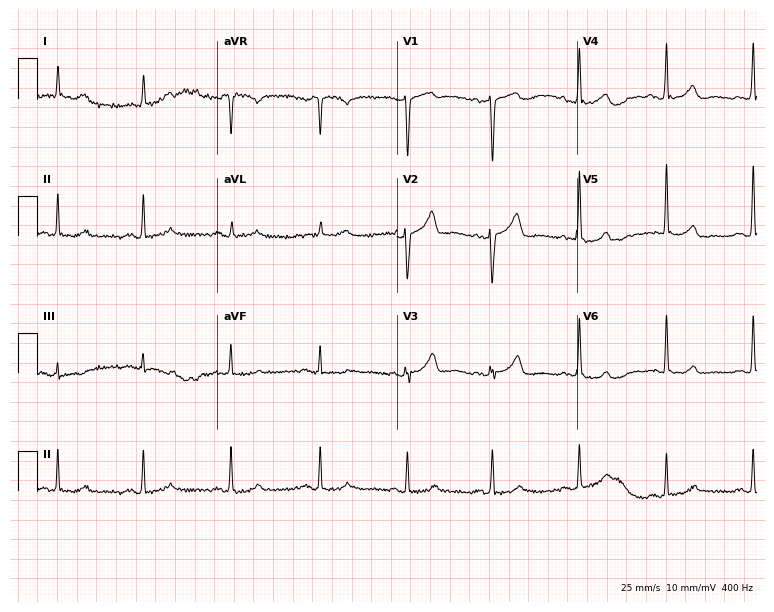
Standard 12-lead ECG recorded from a woman, 56 years old (7.3-second recording at 400 Hz). Read as a normal ECG.